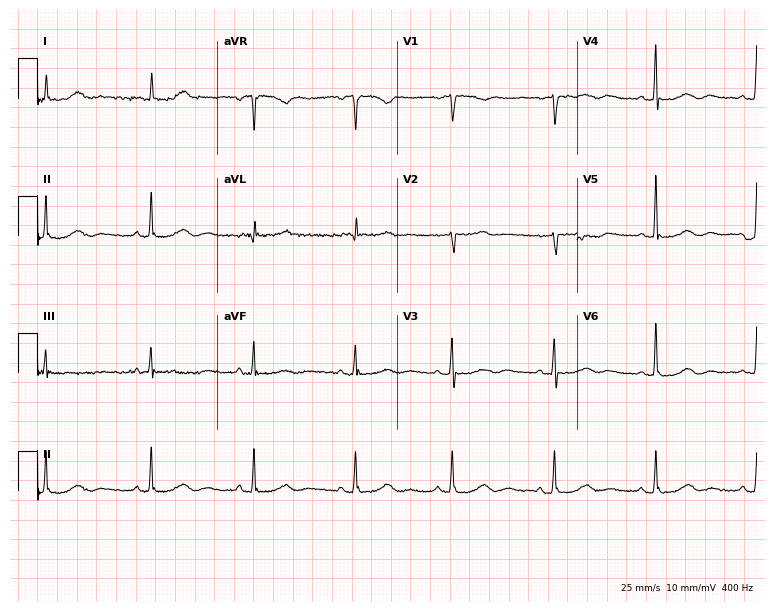
12-lead ECG (7.3-second recording at 400 Hz) from a female, 67 years old. Labelled as a normal ECG.